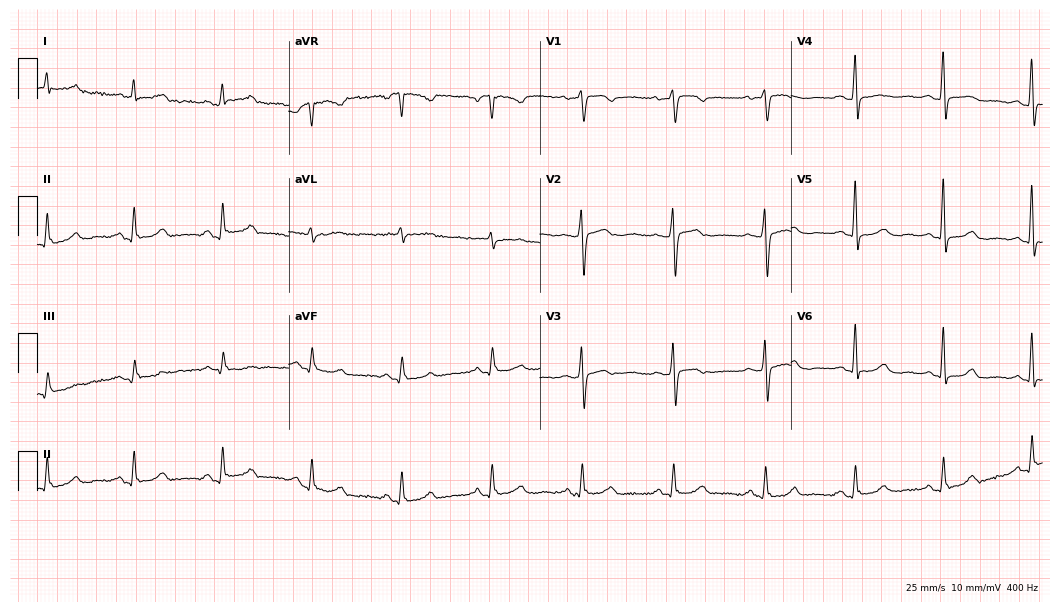
ECG — a 72-year-old female patient. Screened for six findings — first-degree AV block, right bundle branch block (RBBB), left bundle branch block (LBBB), sinus bradycardia, atrial fibrillation (AF), sinus tachycardia — none is recorded.